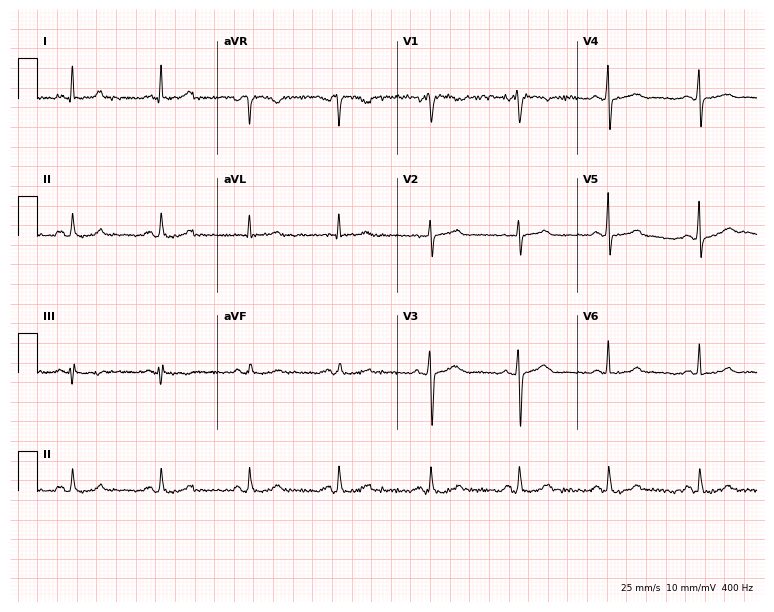
Resting 12-lead electrocardiogram (7.3-second recording at 400 Hz). Patient: a 41-year-old male. Read as a normal ECG.